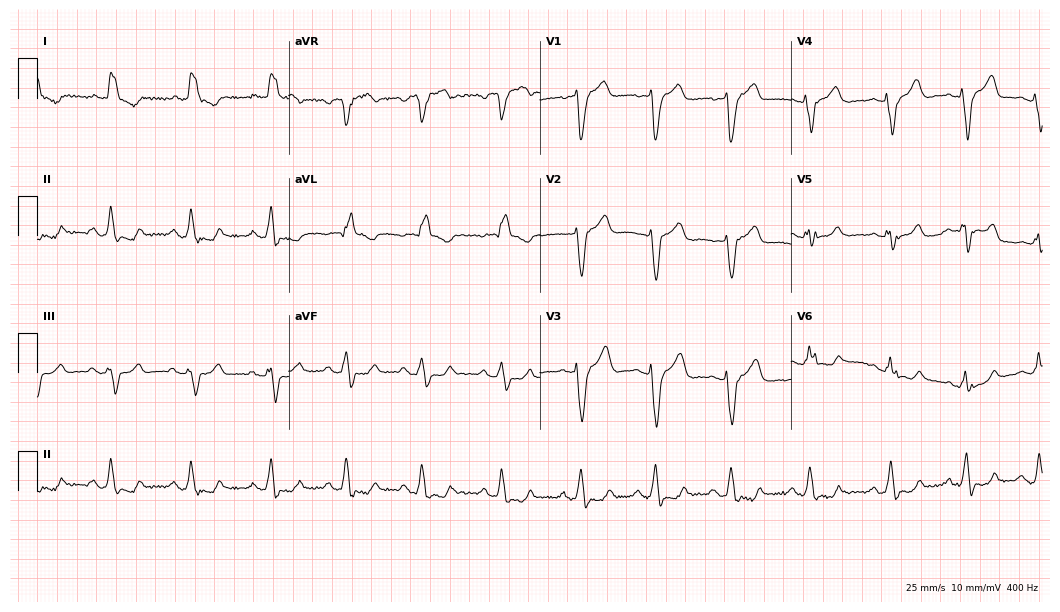
Standard 12-lead ECG recorded from a 70-year-old woman (10.2-second recording at 400 Hz). The tracing shows left bundle branch block.